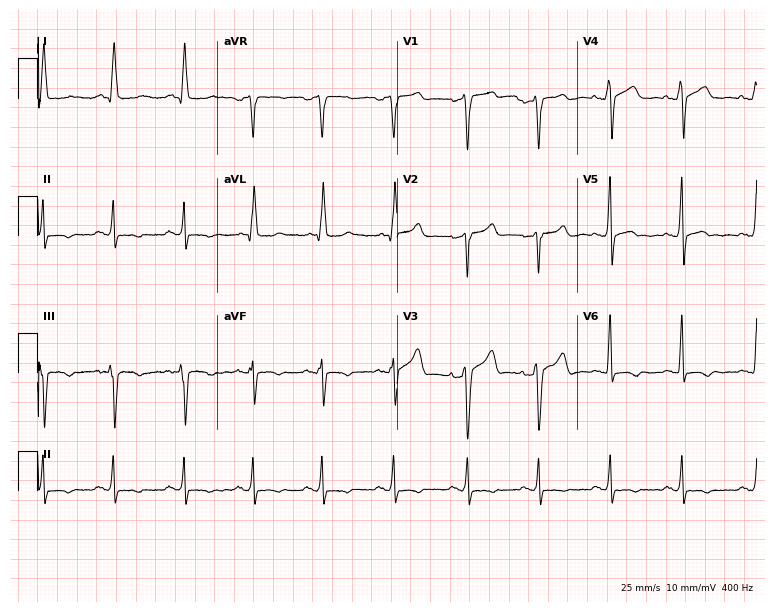
12-lead ECG from a 43-year-old male patient (7.3-second recording at 400 Hz). No first-degree AV block, right bundle branch block (RBBB), left bundle branch block (LBBB), sinus bradycardia, atrial fibrillation (AF) or sinus tachycardia recorded for this tracing. Other findings, if any, are not listed.